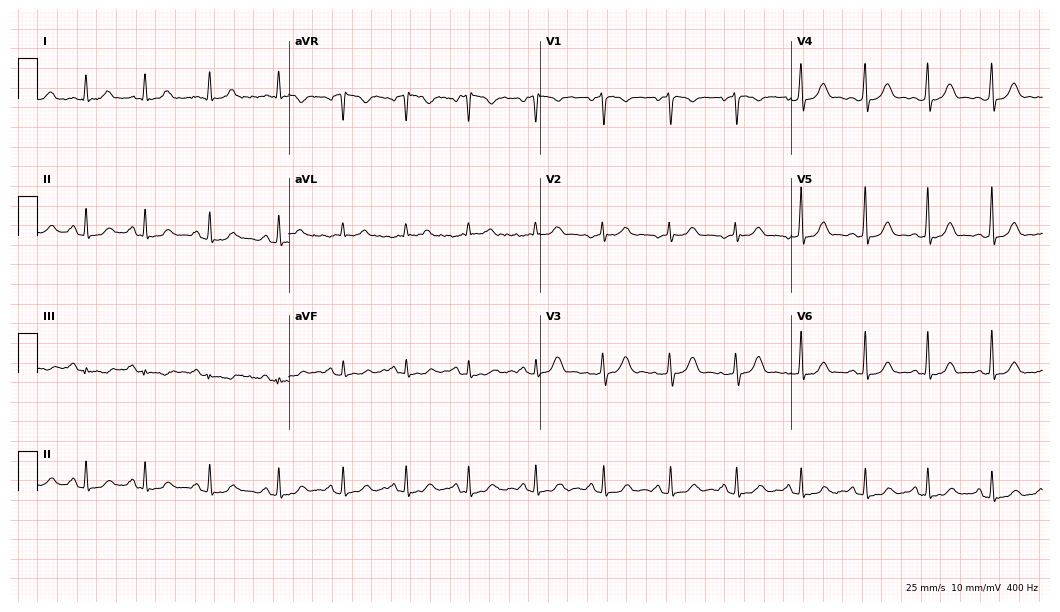
12-lead ECG (10.2-second recording at 400 Hz) from a 23-year-old female patient. Screened for six findings — first-degree AV block, right bundle branch block (RBBB), left bundle branch block (LBBB), sinus bradycardia, atrial fibrillation (AF), sinus tachycardia — none is recorded.